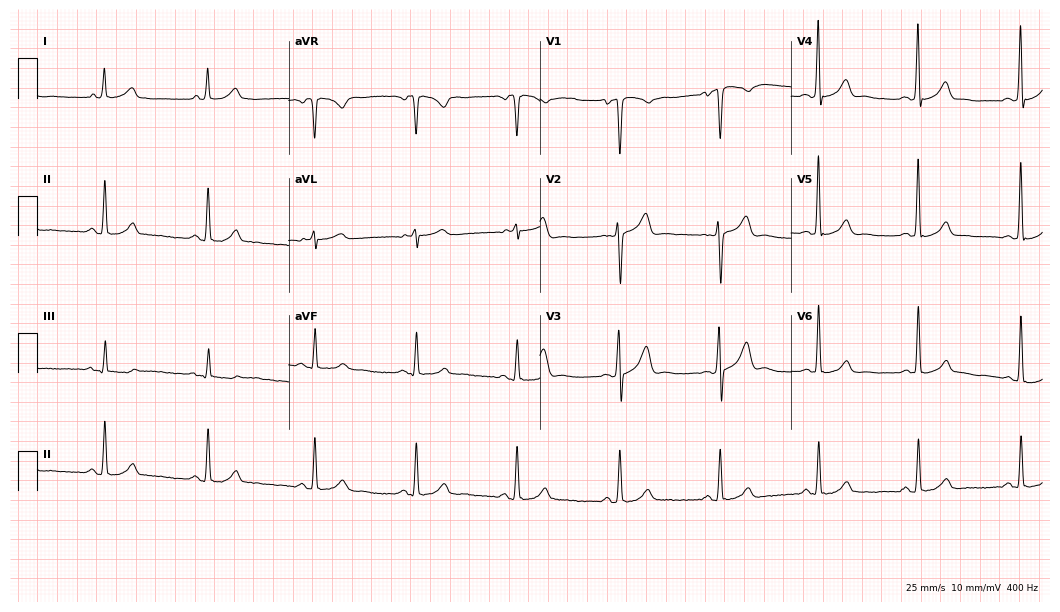
12-lead ECG from a male, 37 years old. Labelled as a normal ECG.